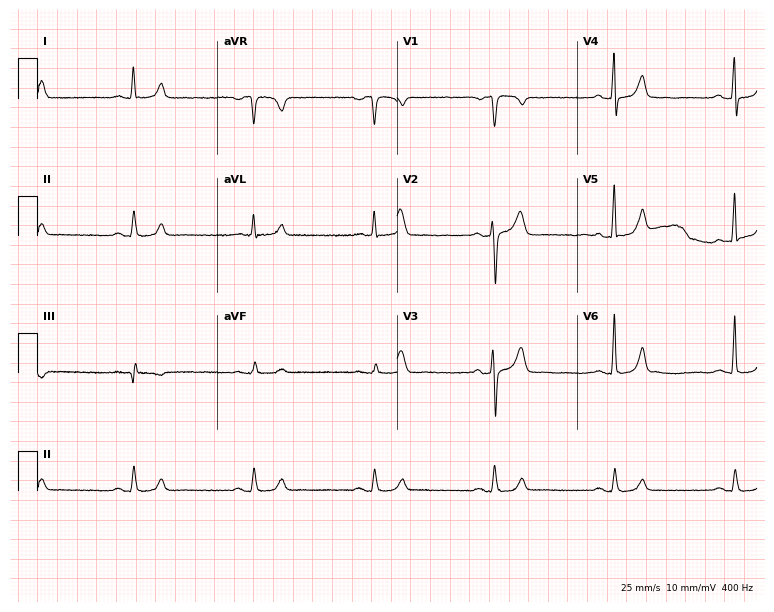
ECG — a male, 65 years old. Findings include sinus bradycardia (a sinus rate of 50 beats per minute or less).